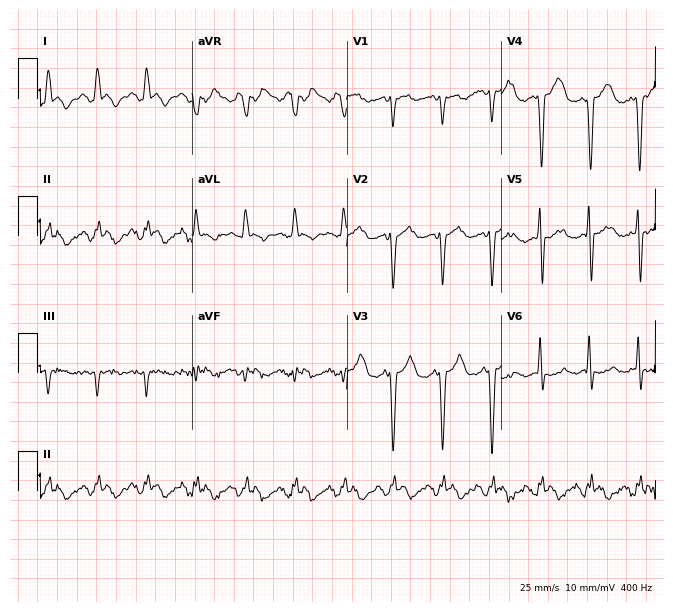
Electrocardiogram (6.3-second recording at 400 Hz), a 78-year-old male. Of the six screened findings (first-degree AV block, right bundle branch block (RBBB), left bundle branch block (LBBB), sinus bradycardia, atrial fibrillation (AF), sinus tachycardia), none is recorded. Only these six findings were labelled.